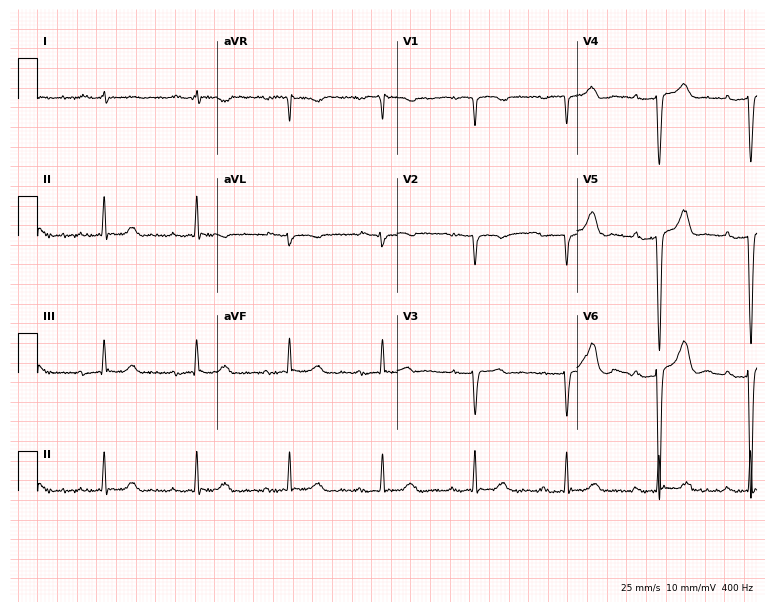
Resting 12-lead electrocardiogram (7.3-second recording at 400 Hz). Patient: a 77-year-old male. The tracing shows first-degree AV block.